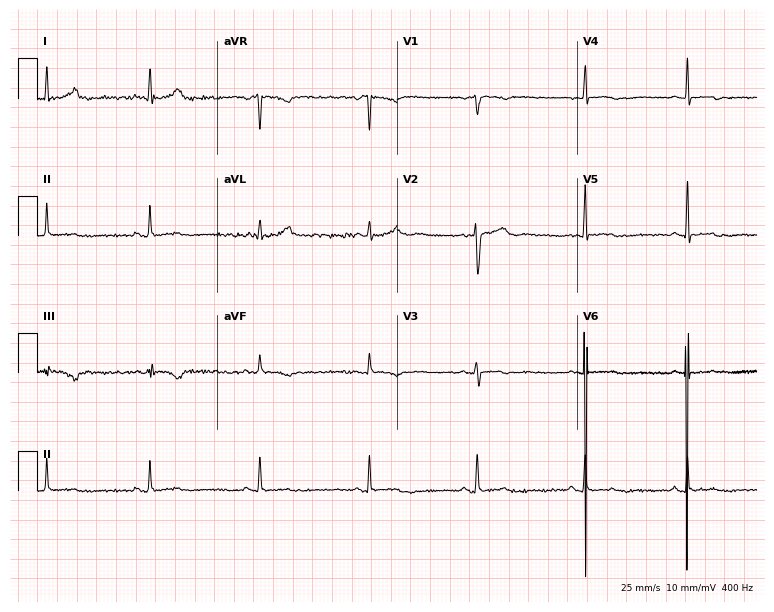
12-lead ECG (7.3-second recording at 400 Hz) from a female, 33 years old. Screened for six findings — first-degree AV block, right bundle branch block, left bundle branch block, sinus bradycardia, atrial fibrillation, sinus tachycardia — none is recorded.